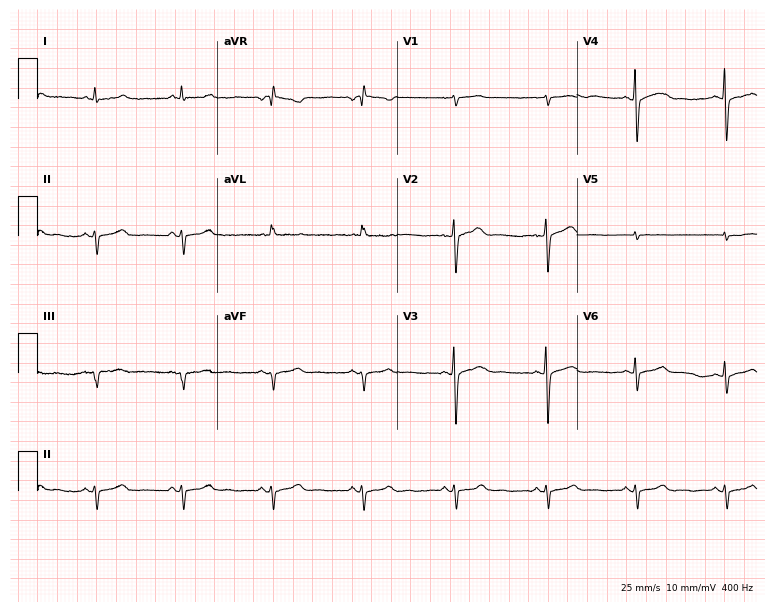
Electrocardiogram (7.3-second recording at 400 Hz), a woman, 63 years old. Of the six screened findings (first-degree AV block, right bundle branch block, left bundle branch block, sinus bradycardia, atrial fibrillation, sinus tachycardia), none is recorded.